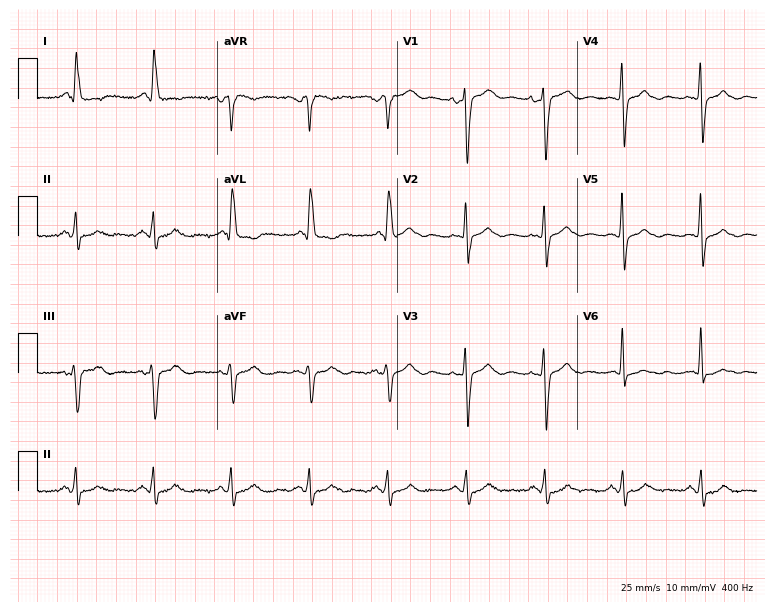
Electrocardiogram, a woman, 79 years old. Of the six screened findings (first-degree AV block, right bundle branch block (RBBB), left bundle branch block (LBBB), sinus bradycardia, atrial fibrillation (AF), sinus tachycardia), none is recorded. Findings outside these six are not listed.